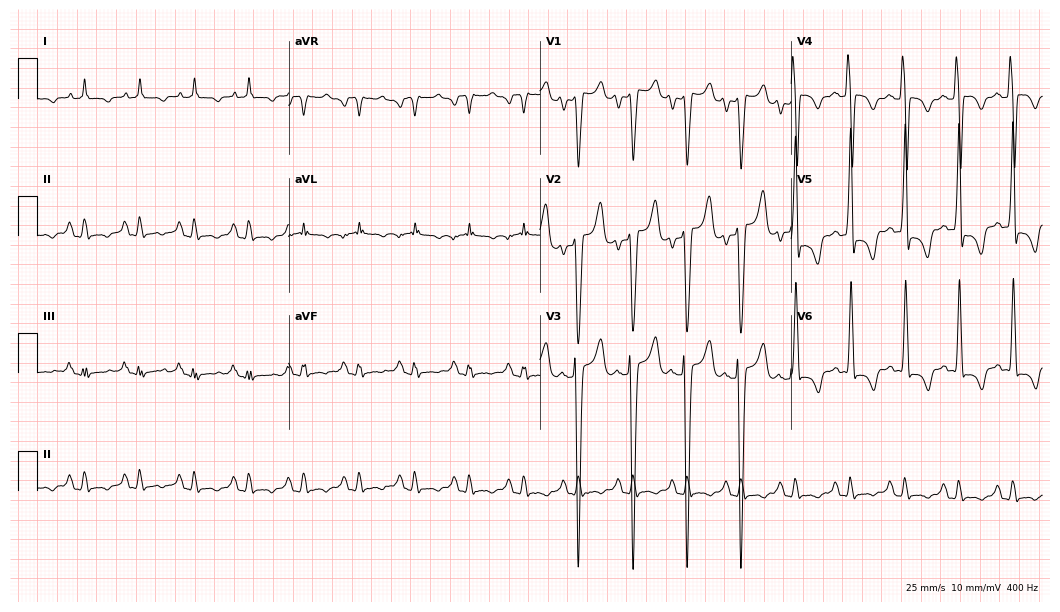
Standard 12-lead ECG recorded from a man, 43 years old (10.2-second recording at 400 Hz). The tracing shows sinus tachycardia (a sinus rate of 100 beats per minute or more).